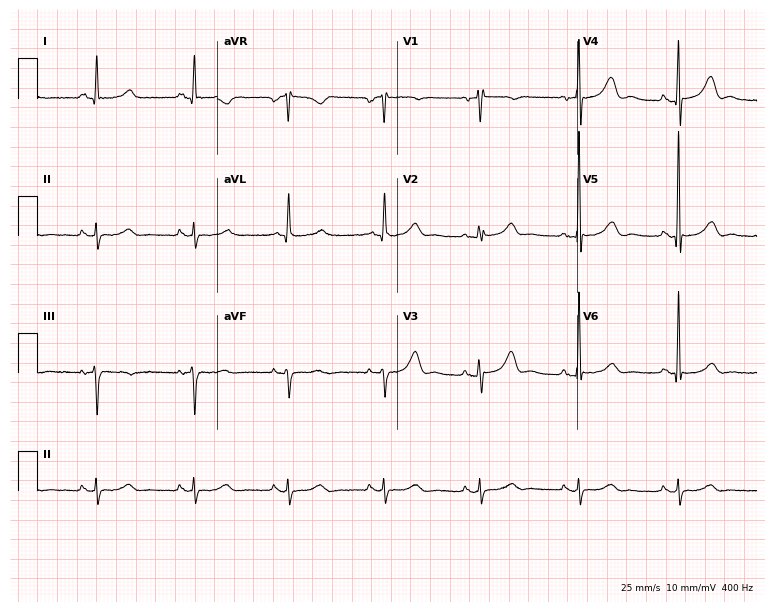
12-lead ECG from a 63-year-old female. Recorded interpretation: within normal limits.